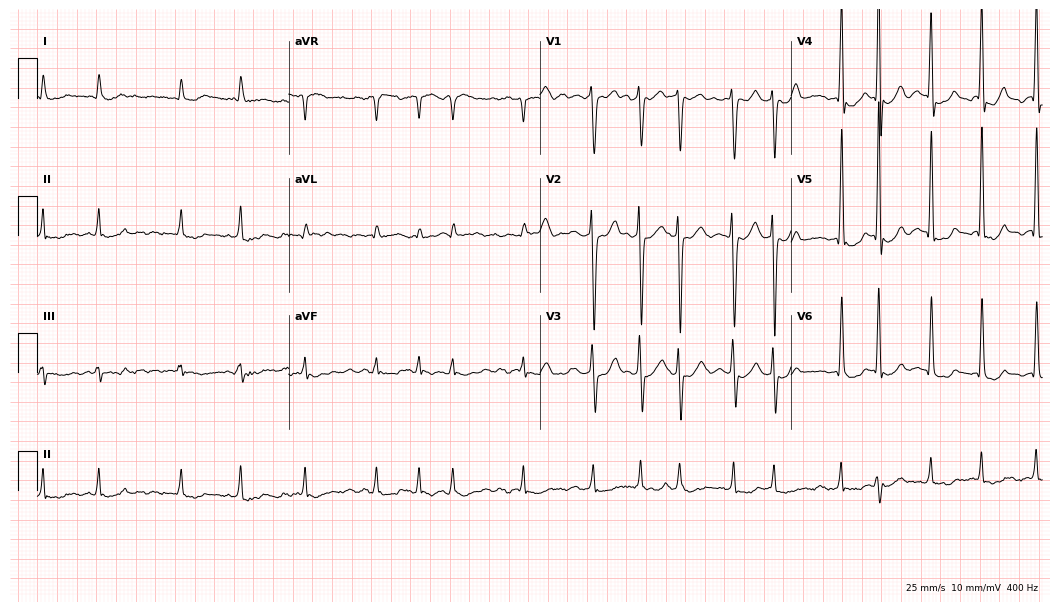
ECG (10.2-second recording at 400 Hz) — a 53-year-old male patient. Findings include atrial fibrillation.